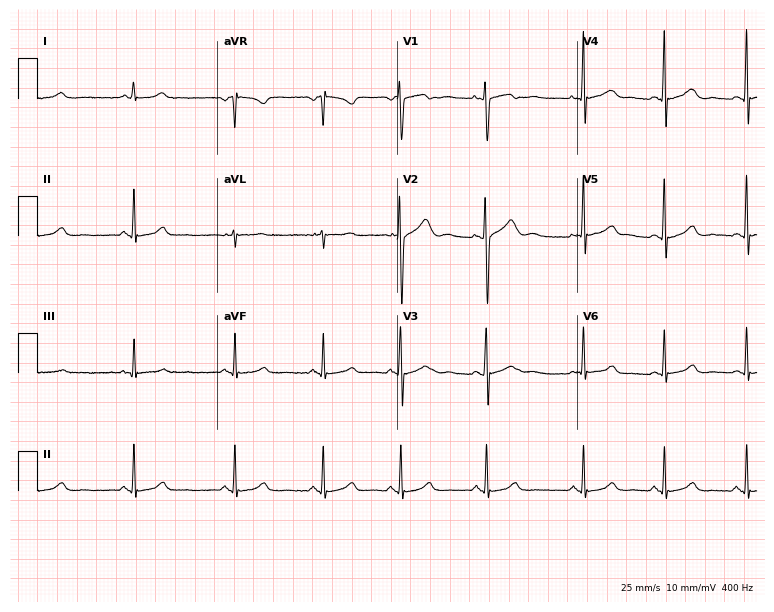
Resting 12-lead electrocardiogram. Patient: a female, 25 years old. Read as a normal ECG.